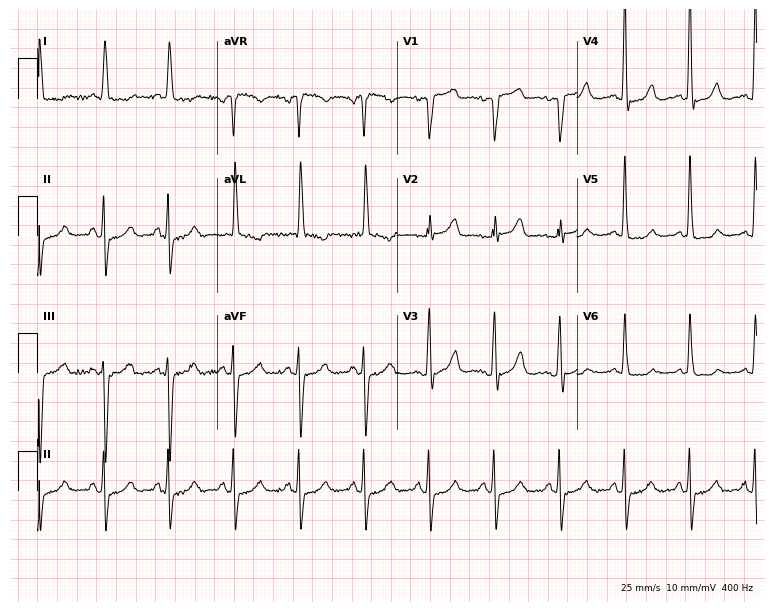
12-lead ECG from an 80-year-old woman (7.3-second recording at 400 Hz). No first-degree AV block, right bundle branch block (RBBB), left bundle branch block (LBBB), sinus bradycardia, atrial fibrillation (AF) or sinus tachycardia recorded for this tracing.